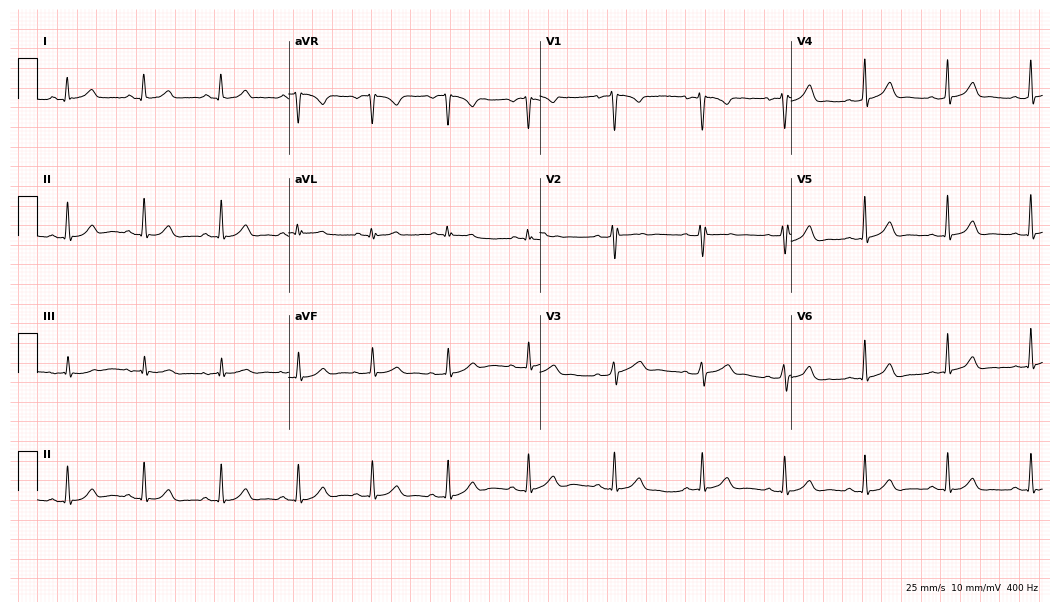
12-lead ECG from an 18-year-old woman. Labelled as a normal ECG.